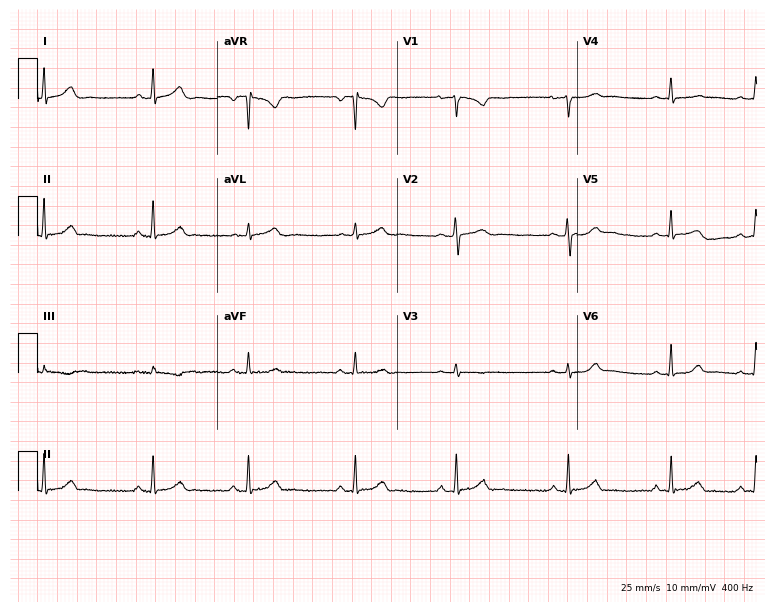
12-lead ECG (7.3-second recording at 400 Hz) from a female, 24 years old. Labelled as a normal ECG.